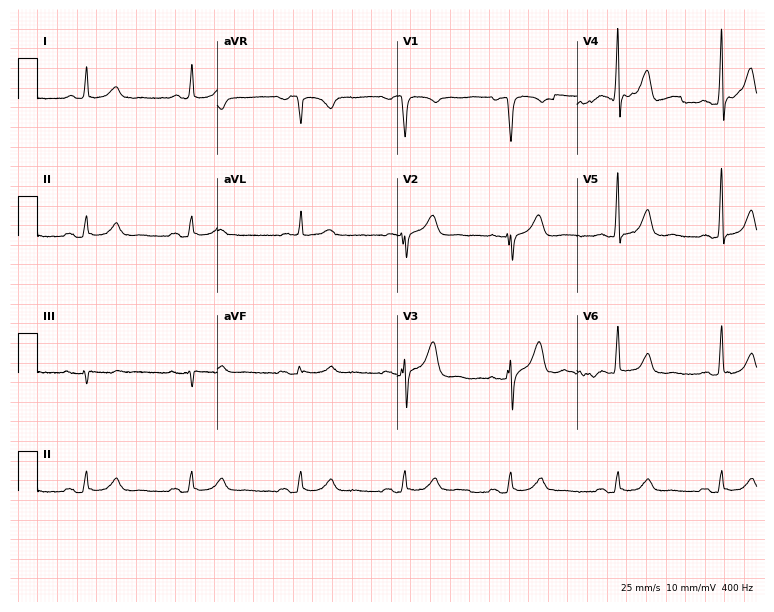
Electrocardiogram (7.3-second recording at 400 Hz), a 63-year-old male. Overall reading on record: normal ECG.